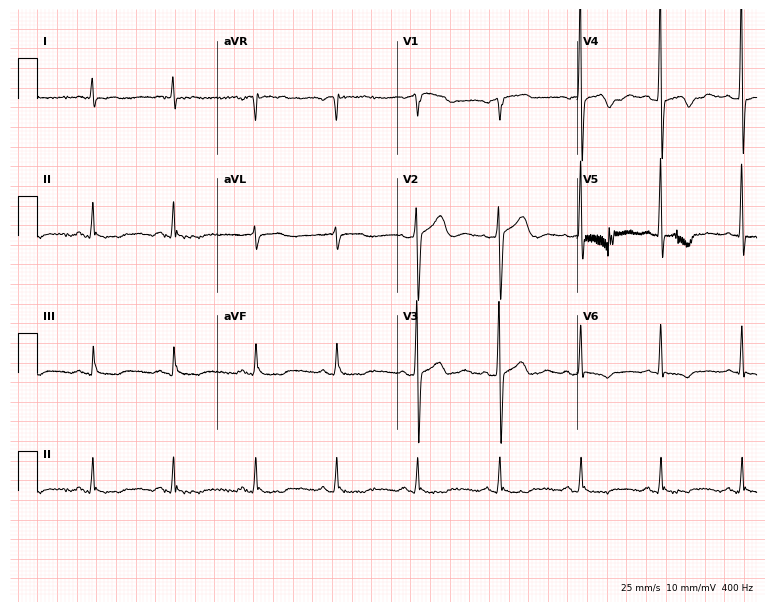
Resting 12-lead electrocardiogram (7.3-second recording at 400 Hz). Patient: a 63-year-old man. None of these six findings is recorded: first-degree AV block, right bundle branch block, left bundle branch block, sinus bradycardia, atrial fibrillation, sinus tachycardia.